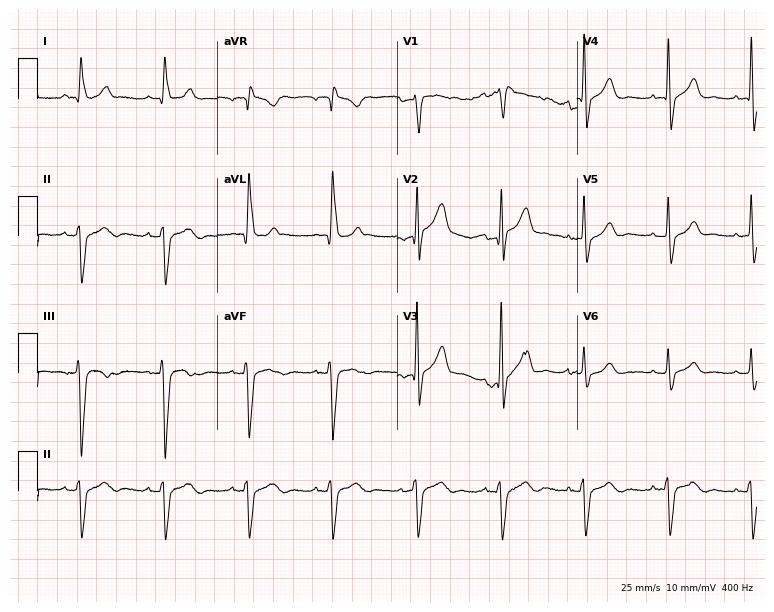
ECG (7.3-second recording at 400 Hz) — a man, 63 years old. Screened for six findings — first-degree AV block, right bundle branch block, left bundle branch block, sinus bradycardia, atrial fibrillation, sinus tachycardia — none is recorded. Other findings, if any, are not listed.